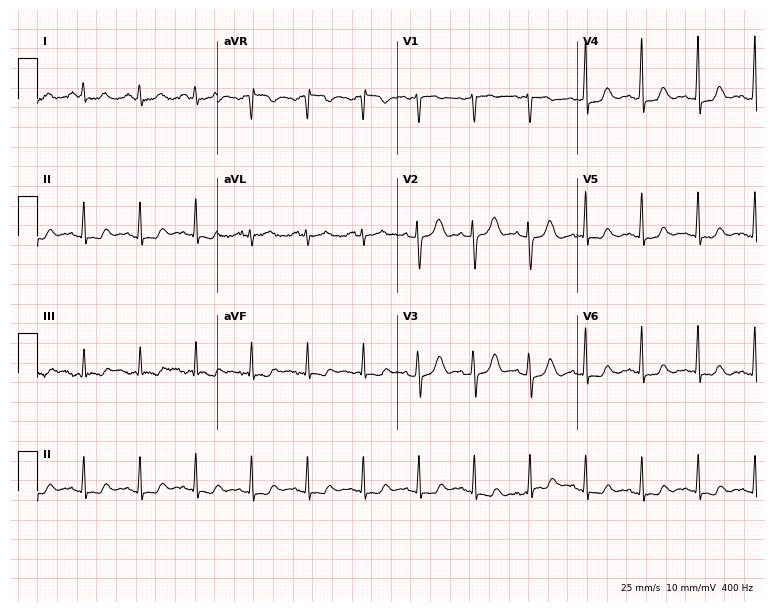
Resting 12-lead electrocardiogram. Patient: a 41-year-old female. The tracing shows sinus tachycardia (a sinus rate of 100 beats per minute or more).